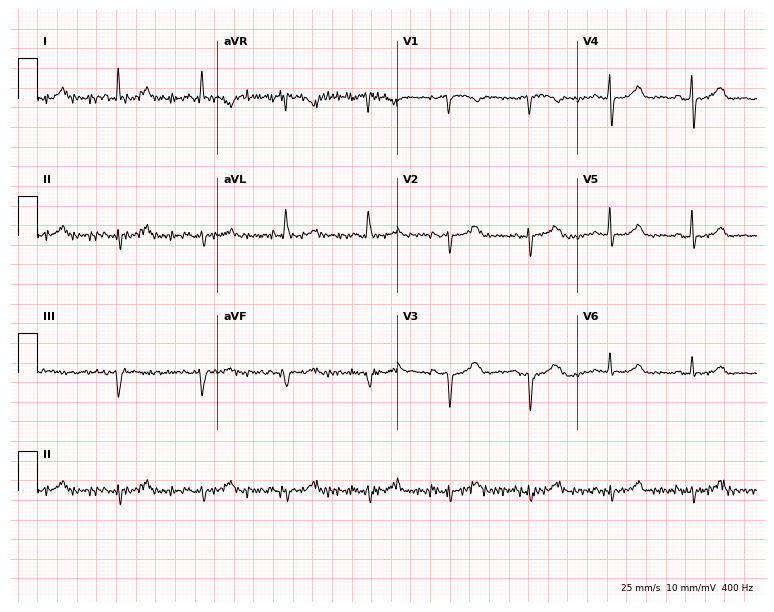
ECG (7.3-second recording at 400 Hz) — an 82-year-old male patient. Screened for six findings — first-degree AV block, right bundle branch block (RBBB), left bundle branch block (LBBB), sinus bradycardia, atrial fibrillation (AF), sinus tachycardia — none is recorded. Other findings, if any, are not listed.